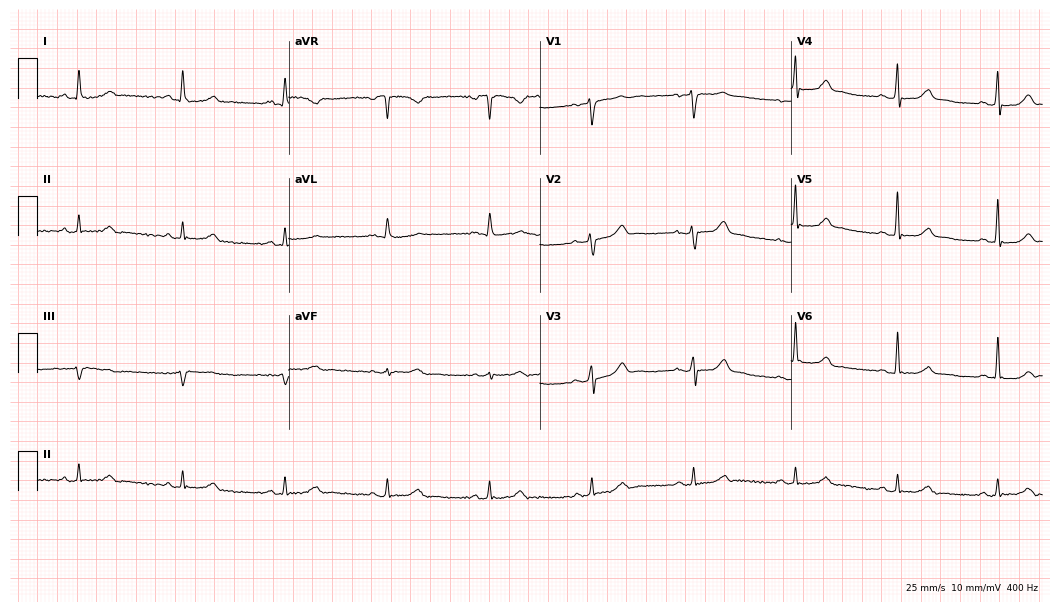
12-lead ECG from a female, 64 years old (10.2-second recording at 400 Hz). Recorded interpretation: within normal limits.